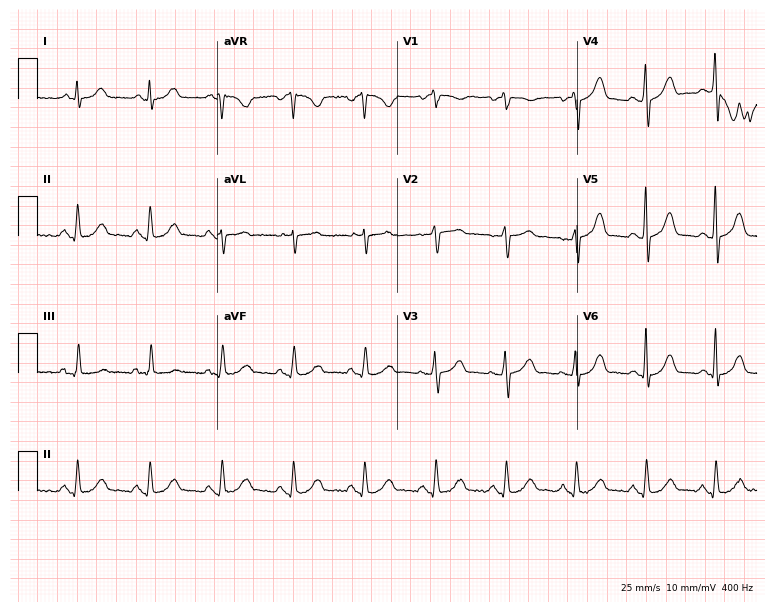
Electrocardiogram (7.3-second recording at 400 Hz), a 74-year-old woman. Overall reading on record: normal ECG.